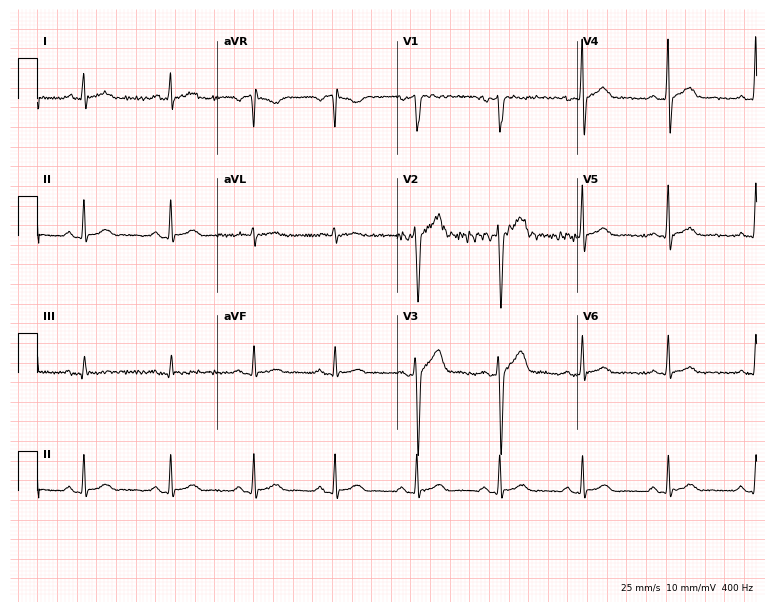
Standard 12-lead ECG recorded from a 40-year-old man (7.3-second recording at 400 Hz). Read as a normal ECG.